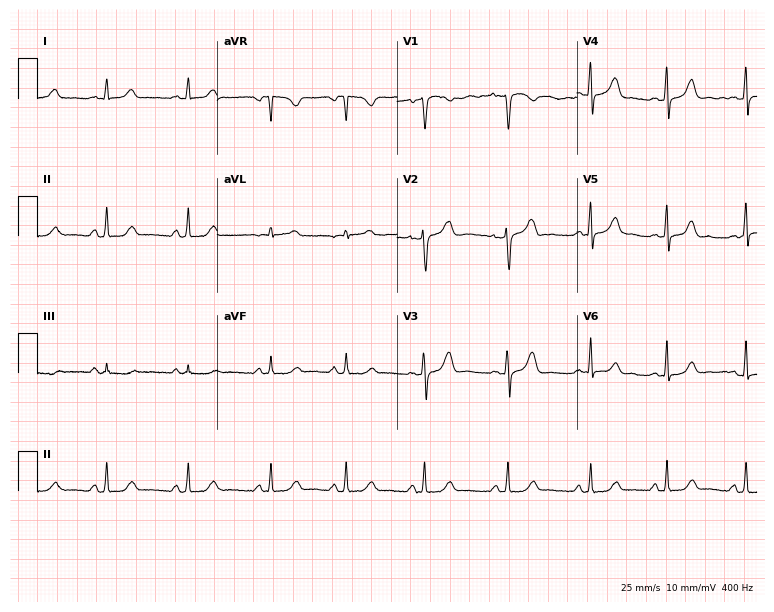
Electrocardiogram (7.3-second recording at 400 Hz), a 35-year-old female patient. Overall reading on record: normal ECG.